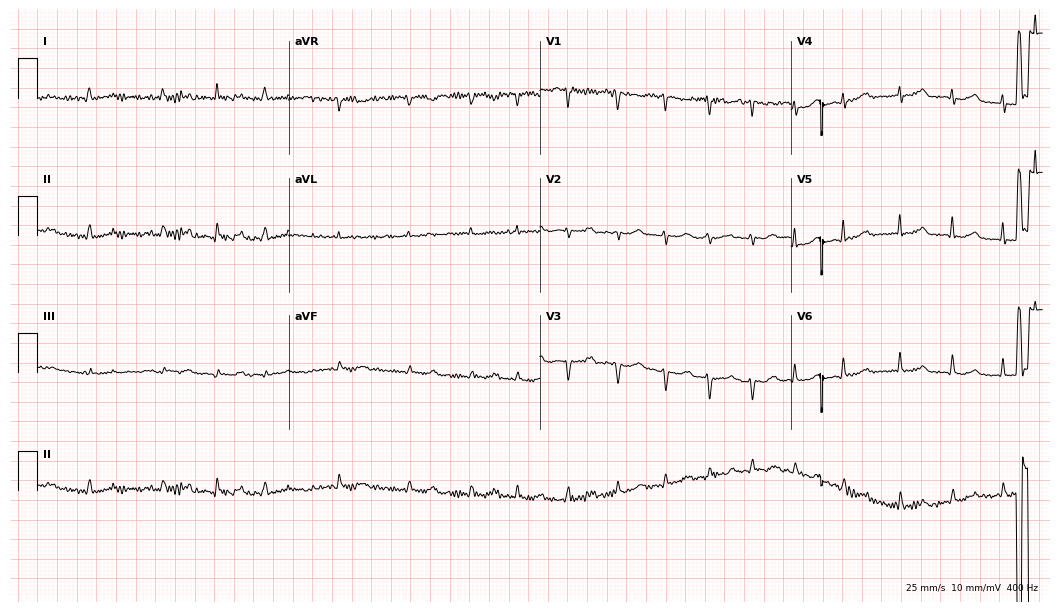
Resting 12-lead electrocardiogram (10.2-second recording at 400 Hz). Patient: a woman, 79 years old. None of these six findings is recorded: first-degree AV block, right bundle branch block, left bundle branch block, sinus bradycardia, atrial fibrillation, sinus tachycardia.